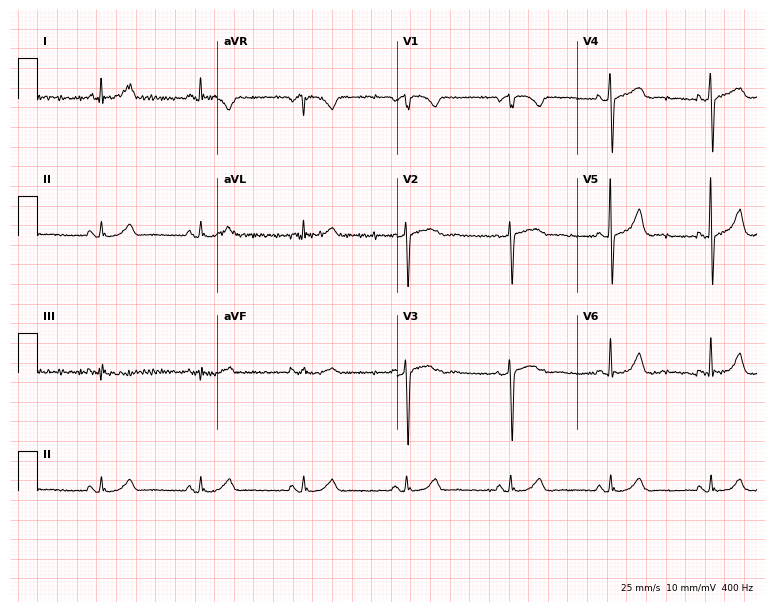
Electrocardiogram (7.3-second recording at 400 Hz), a 62-year-old female patient. Overall reading on record: normal ECG.